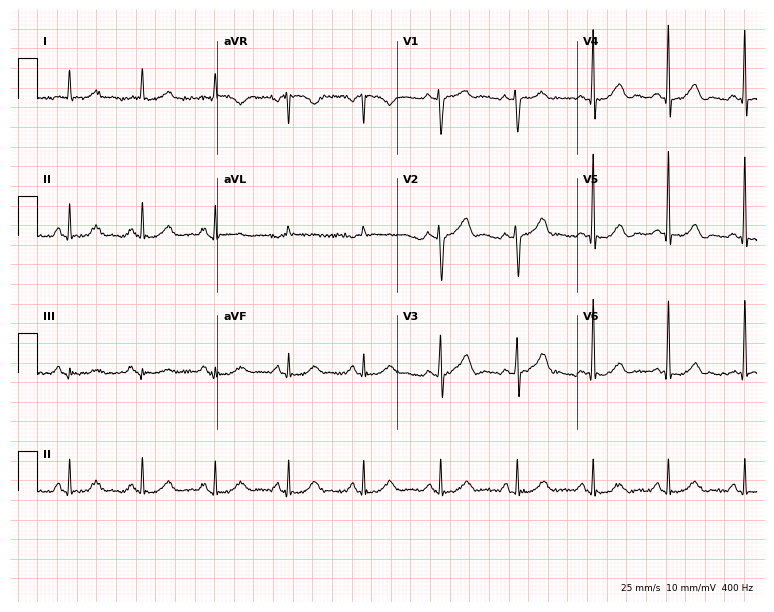
Resting 12-lead electrocardiogram. Patient: a male, 60 years old. Read as a normal ECG.